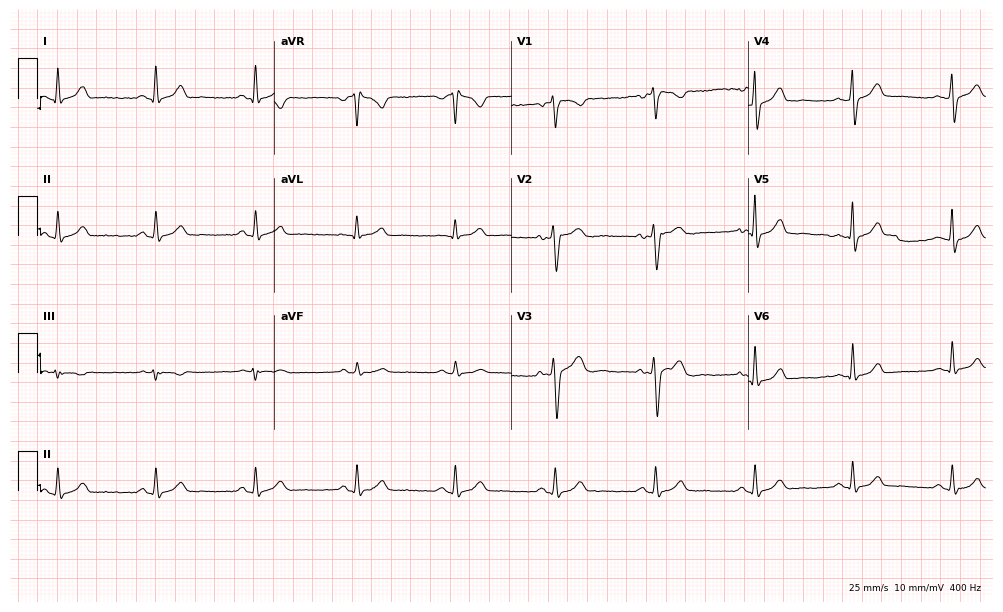
ECG — a 37-year-old female patient. Screened for six findings — first-degree AV block, right bundle branch block, left bundle branch block, sinus bradycardia, atrial fibrillation, sinus tachycardia — none is recorded.